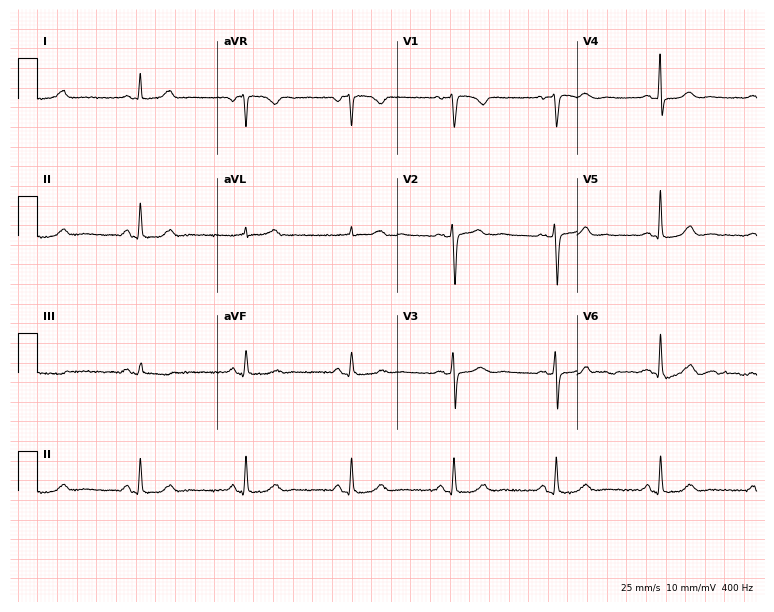
Standard 12-lead ECG recorded from a 54-year-old woman. Read as a normal ECG.